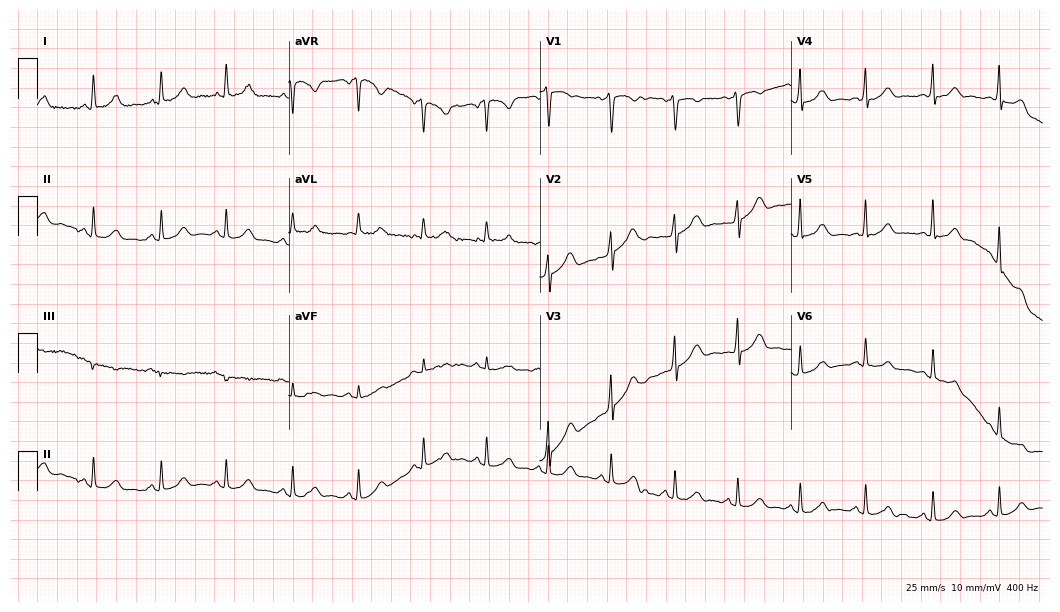
Standard 12-lead ECG recorded from a 38-year-old female patient. Read as a normal ECG.